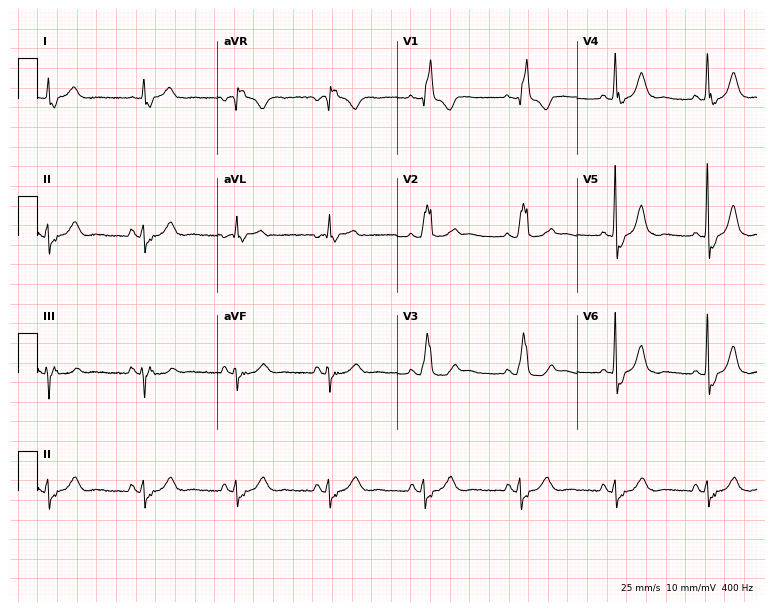
12-lead ECG from a female patient, 64 years old. Findings include right bundle branch block.